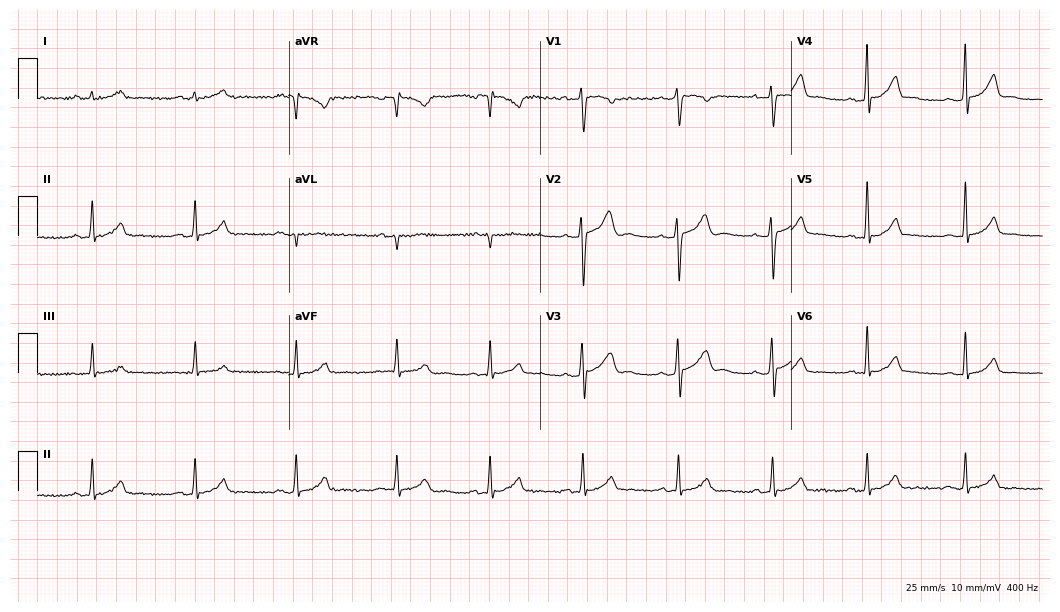
Electrocardiogram (10.2-second recording at 400 Hz), a man, 21 years old. Of the six screened findings (first-degree AV block, right bundle branch block (RBBB), left bundle branch block (LBBB), sinus bradycardia, atrial fibrillation (AF), sinus tachycardia), none is recorded.